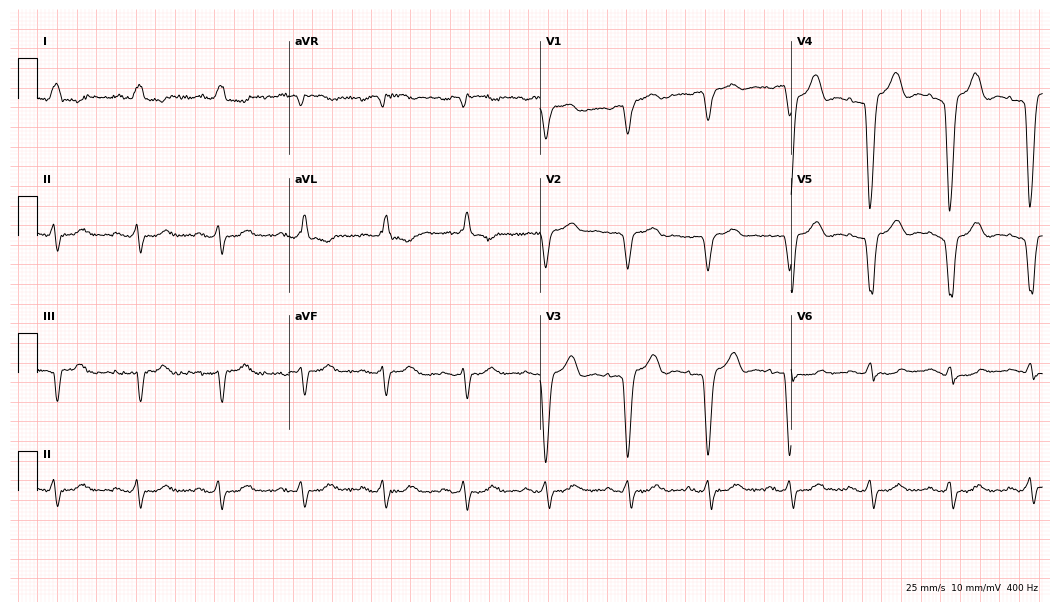
Standard 12-lead ECG recorded from a female patient, 83 years old (10.2-second recording at 400 Hz). None of these six findings is recorded: first-degree AV block, right bundle branch block (RBBB), left bundle branch block (LBBB), sinus bradycardia, atrial fibrillation (AF), sinus tachycardia.